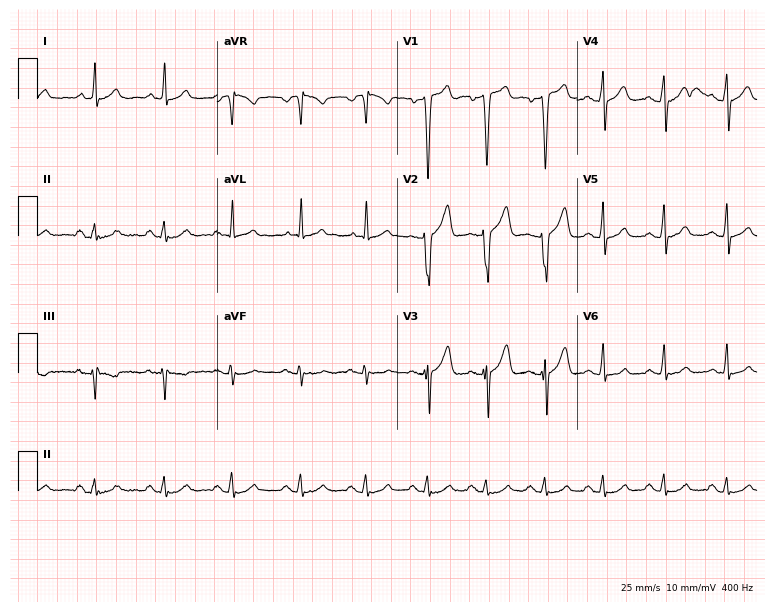
12-lead ECG from a 40-year-old male patient. Screened for six findings — first-degree AV block, right bundle branch block (RBBB), left bundle branch block (LBBB), sinus bradycardia, atrial fibrillation (AF), sinus tachycardia — none is recorded.